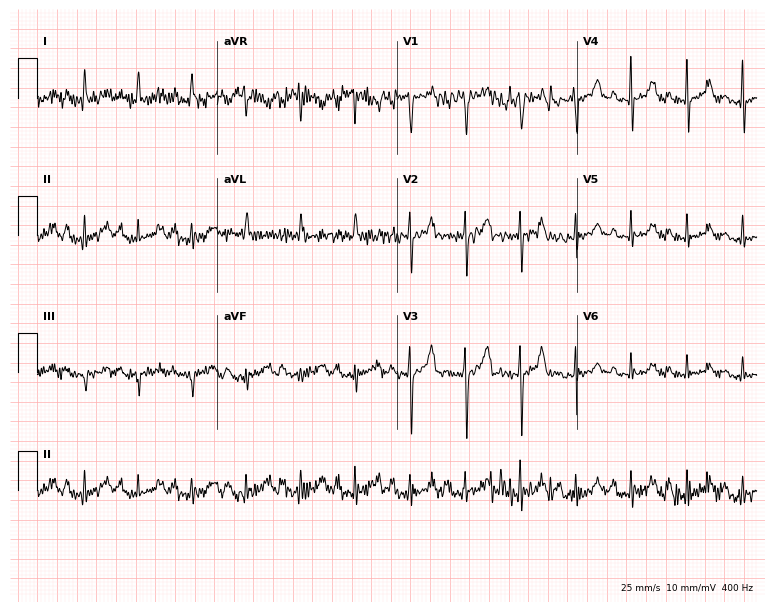
ECG (7.3-second recording at 400 Hz) — a 71-year-old woman. Screened for six findings — first-degree AV block, right bundle branch block (RBBB), left bundle branch block (LBBB), sinus bradycardia, atrial fibrillation (AF), sinus tachycardia — none is recorded. Other findings, if any, are not listed.